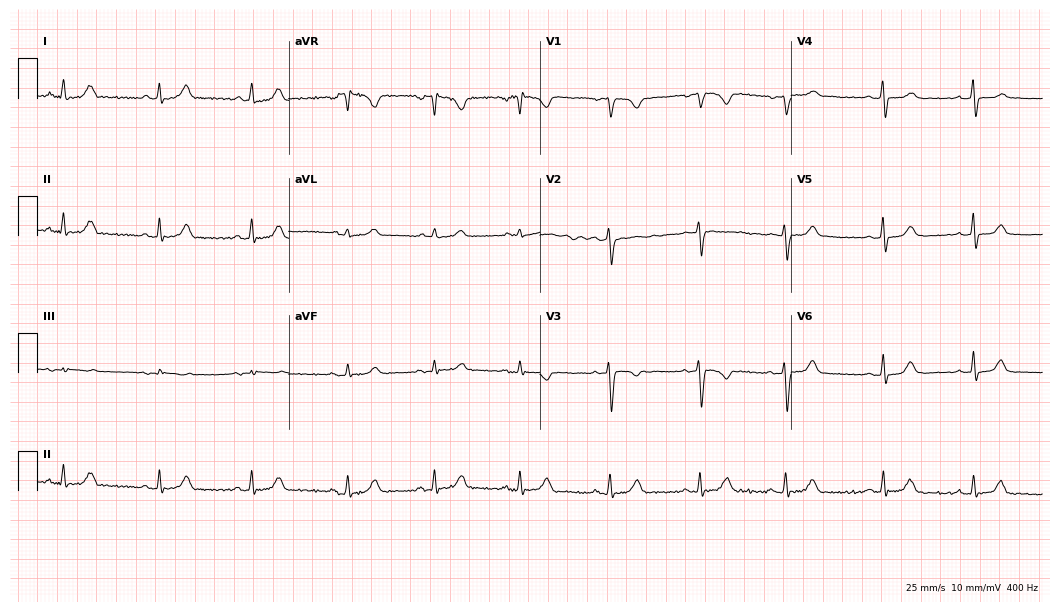
Standard 12-lead ECG recorded from a male patient, 21 years old. Read as a normal ECG.